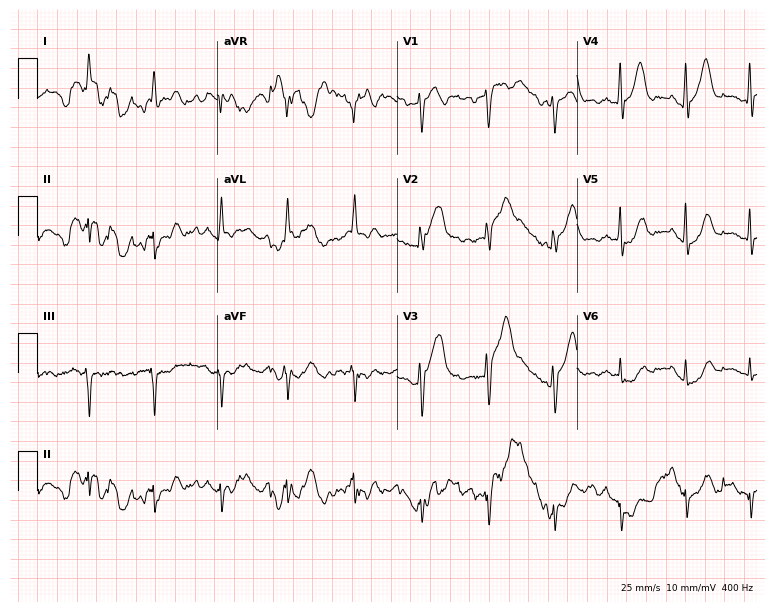
Electrocardiogram, a 64-year-old man. Of the six screened findings (first-degree AV block, right bundle branch block, left bundle branch block, sinus bradycardia, atrial fibrillation, sinus tachycardia), none is recorded. Only these six findings were labelled.